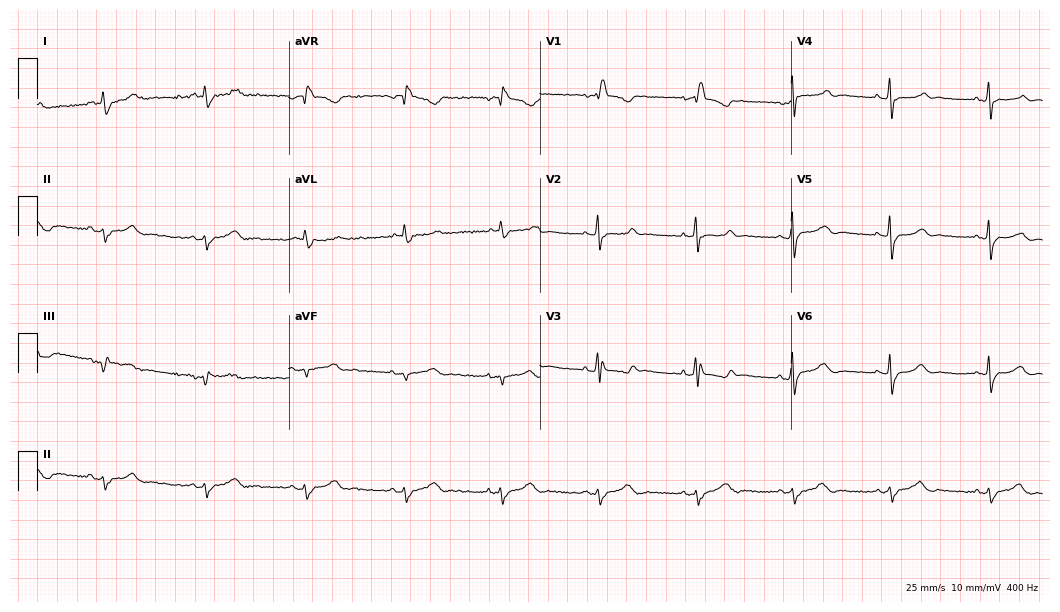
ECG — a 48-year-old female. Screened for six findings — first-degree AV block, right bundle branch block, left bundle branch block, sinus bradycardia, atrial fibrillation, sinus tachycardia — none is recorded.